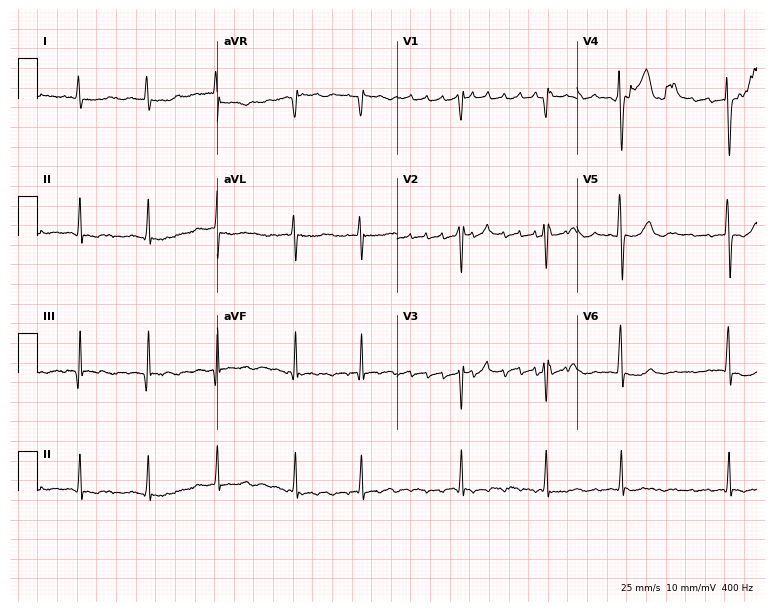
12-lead ECG from a 65-year-old woman (7.3-second recording at 400 Hz). Shows atrial fibrillation (AF).